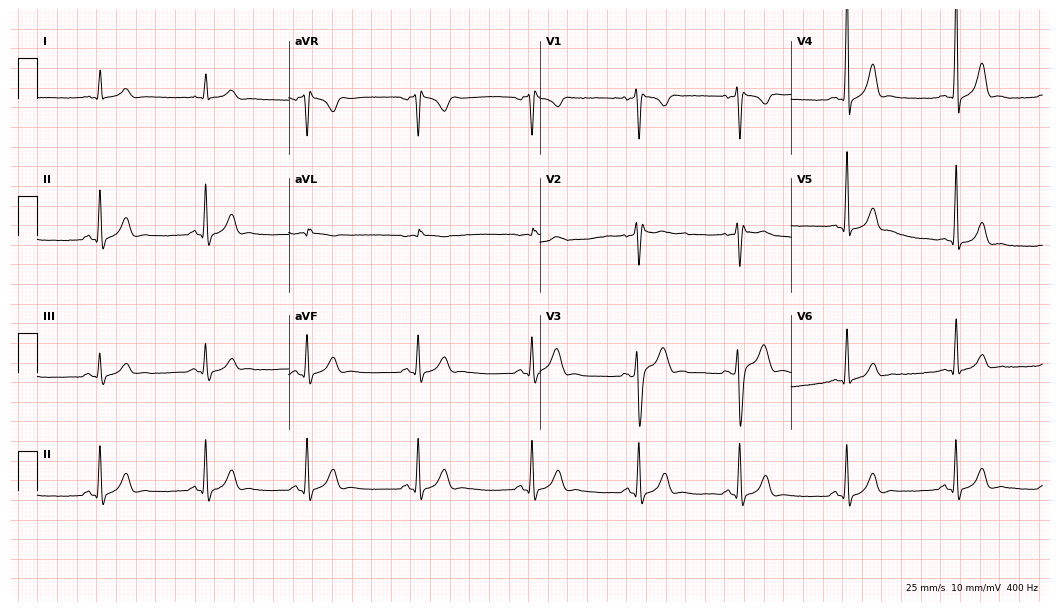
Electrocardiogram, a 19-year-old man. Of the six screened findings (first-degree AV block, right bundle branch block, left bundle branch block, sinus bradycardia, atrial fibrillation, sinus tachycardia), none is recorded.